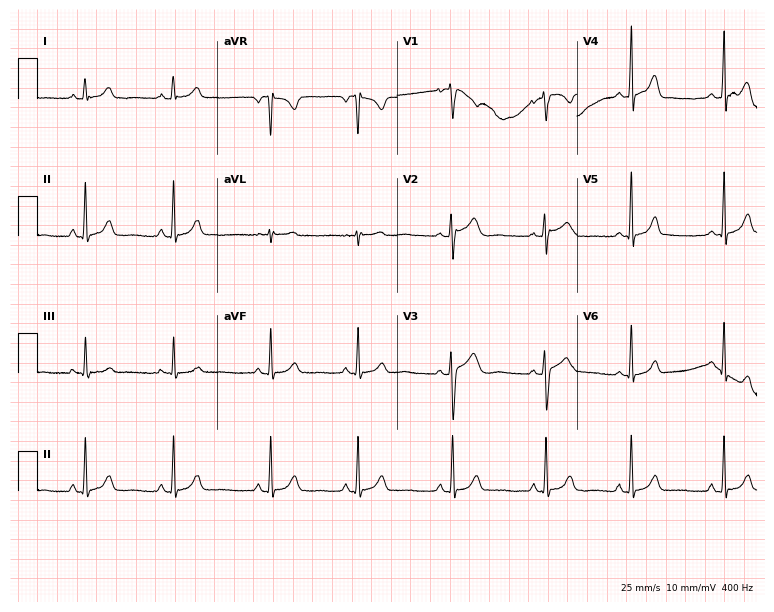
Standard 12-lead ECG recorded from a female, 20 years old (7.3-second recording at 400 Hz). None of these six findings is recorded: first-degree AV block, right bundle branch block, left bundle branch block, sinus bradycardia, atrial fibrillation, sinus tachycardia. Findings outside these six are not listed.